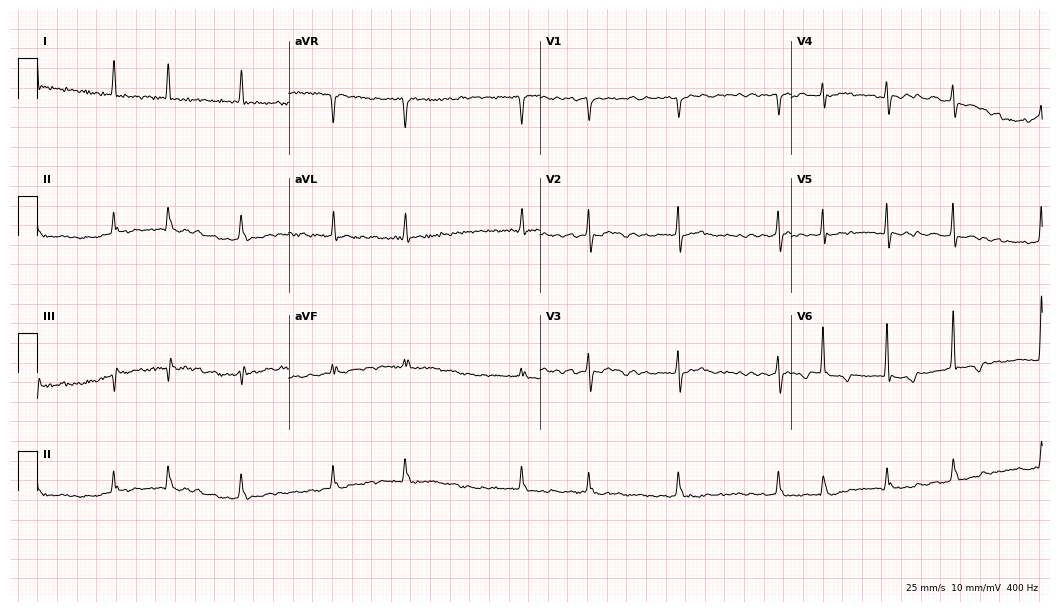
Standard 12-lead ECG recorded from a female, 69 years old (10.2-second recording at 400 Hz). None of these six findings is recorded: first-degree AV block, right bundle branch block, left bundle branch block, sinus bradycardia, atrial fibrillation, sinus tachycardia.